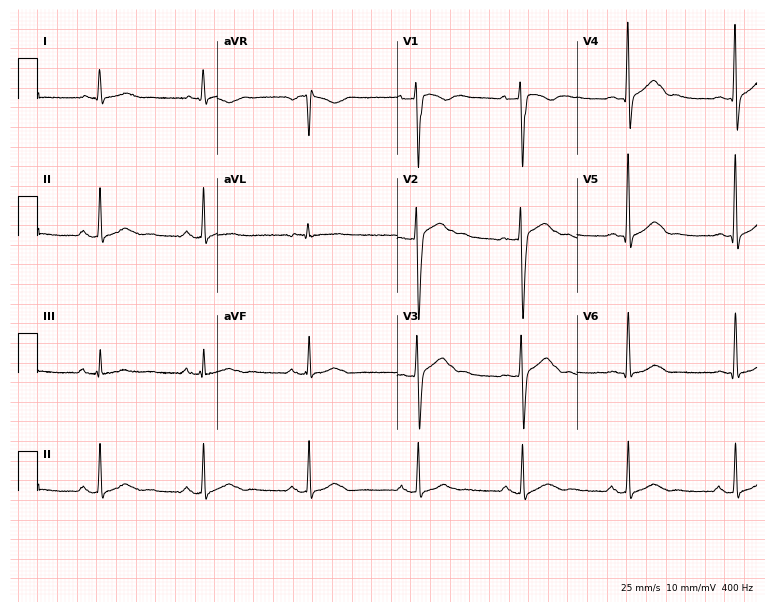
12-lead ECG from a male, 28 years old. No first-degree AV block, right bundle branch block, left bundle branch block, sinus bradycardia, atrial fibrillation or sinus tachycardia recorded for this tracing.